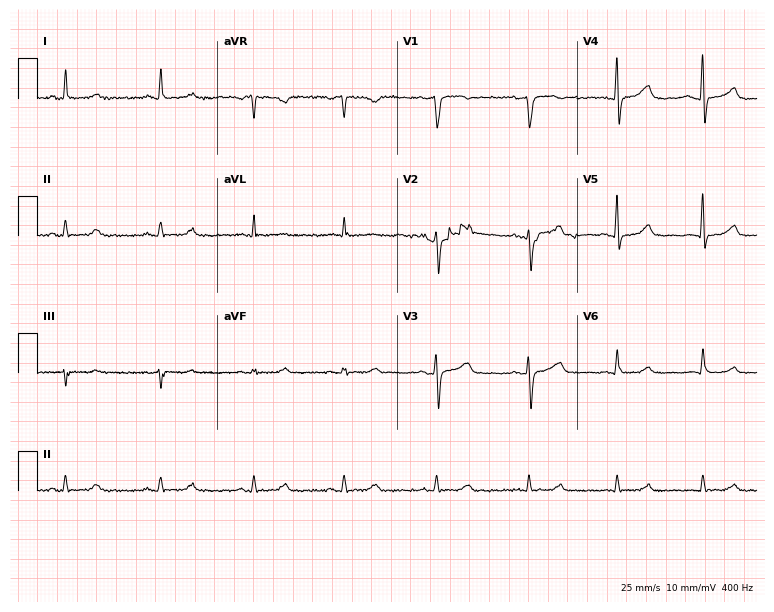
ECG (7.3-second recording at 400 Hz) — a female, 56 years old. Screened for six findings — first-degree AV block, right bundle branch block (RBBB), left bundle branch block (LBBB), sinus bradycardia, atrial fibrillation (AF), sinus tachycardia — none is recorded. Only these six findings were labelled.